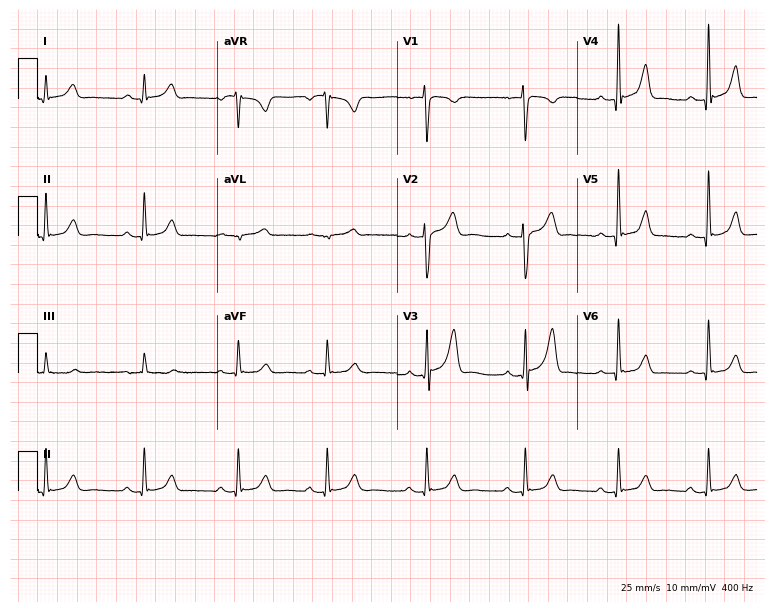
12-lead ECG from a 29-year-old male. Labelled as a normal ECG.